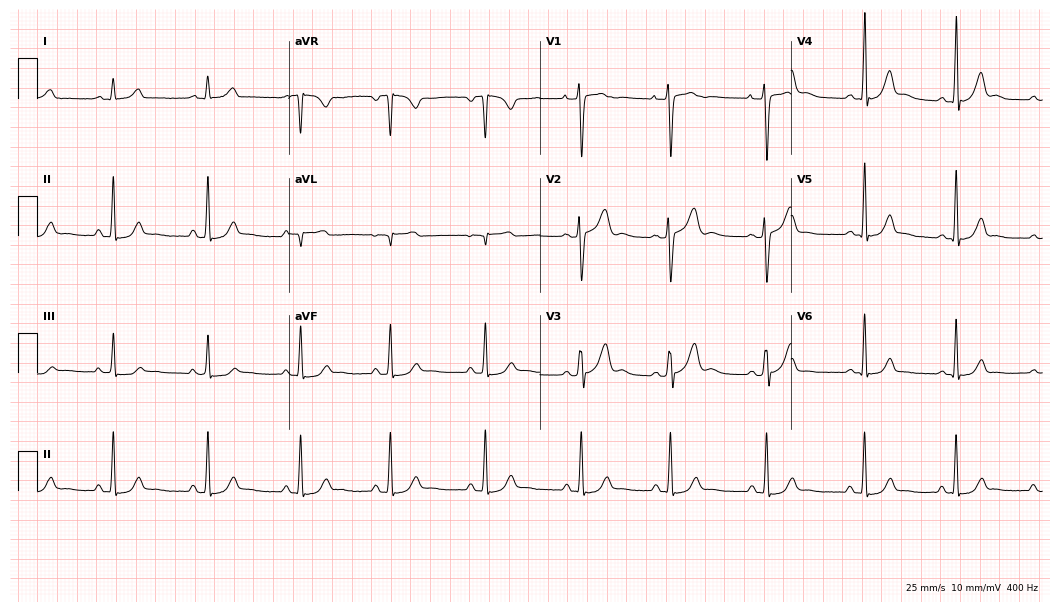
Standard 12-lead ECG recorded from a 33-year-old woman (10.2-second recording at 400 Hz). None of these six findings is recorded: first-degree AV block, right bundle branch block, left bundle branch block, sinus bradycardia, atrial fibrillation, sinus tachycardia.